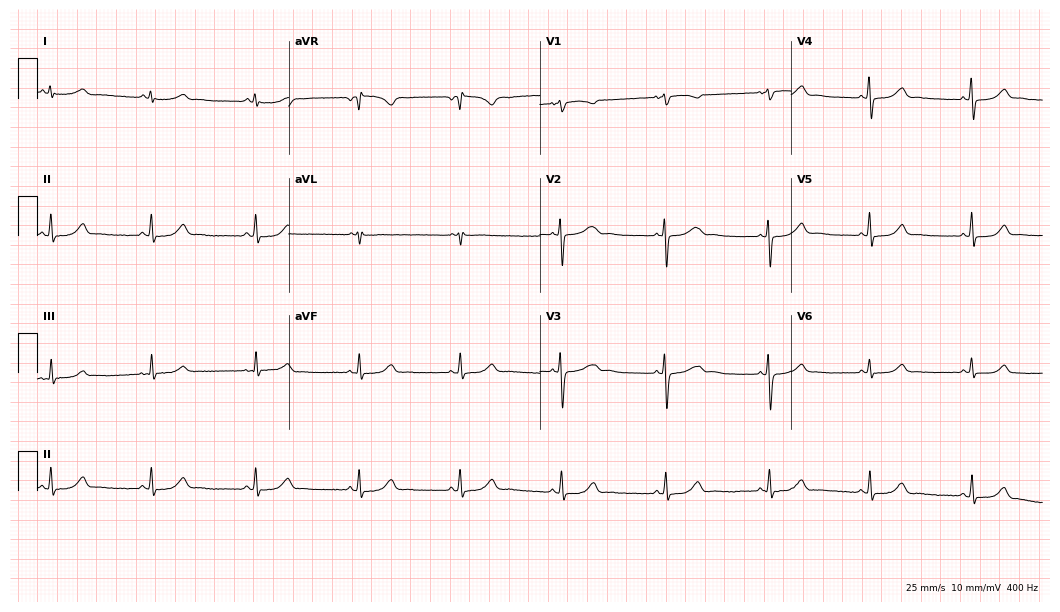
Standard 12-lead ECG recorded from a 31-year-old woman (10.2-second recording at 400 Hz). Read as a normal ECG.